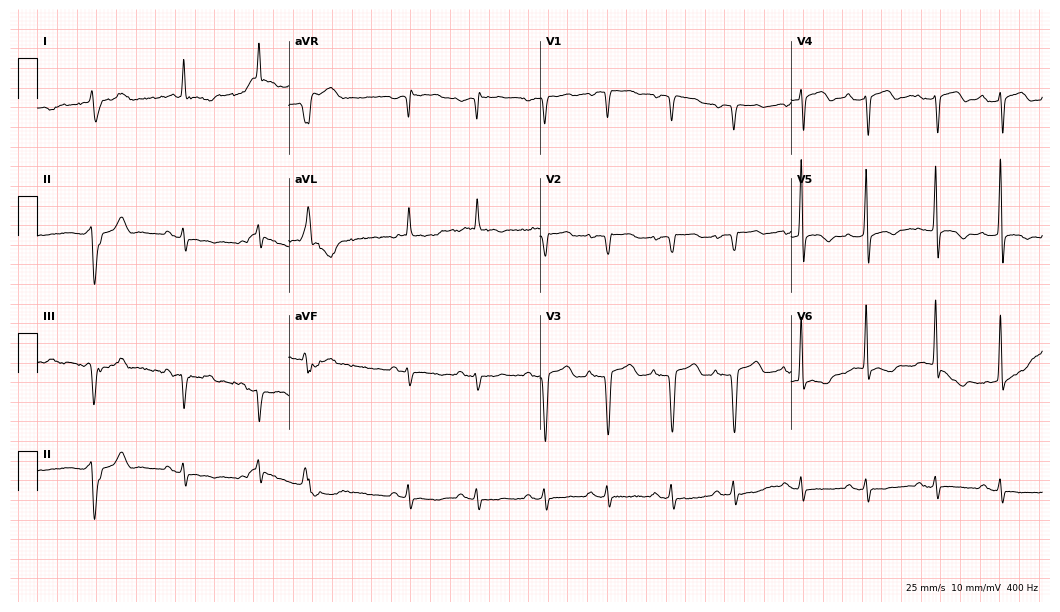
ECG (10.2-second recording at 400 Hz) — a 76-year-old woman. Screened for six findings — first-degree AV block, right bundle branch block, left bundle branch block, sinus bradycardia, atrial fibrillation, sinus tachycardia — none is recorded.